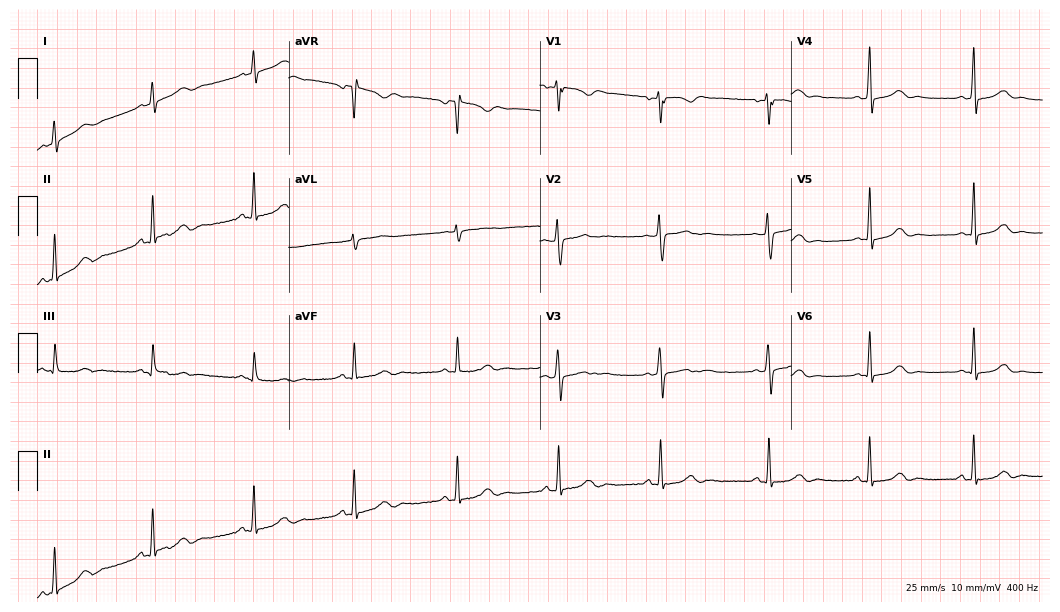
12-lead ECG from a woman, 23 years old (10.2-second recording at 400 Hz). No first-degree AV block, right bundle branch block, left bundle branch block, sinus bradycardia, atrial fibrillation or sinus tachycardia recorded for this tracing. Other findings, if any, are not listed.